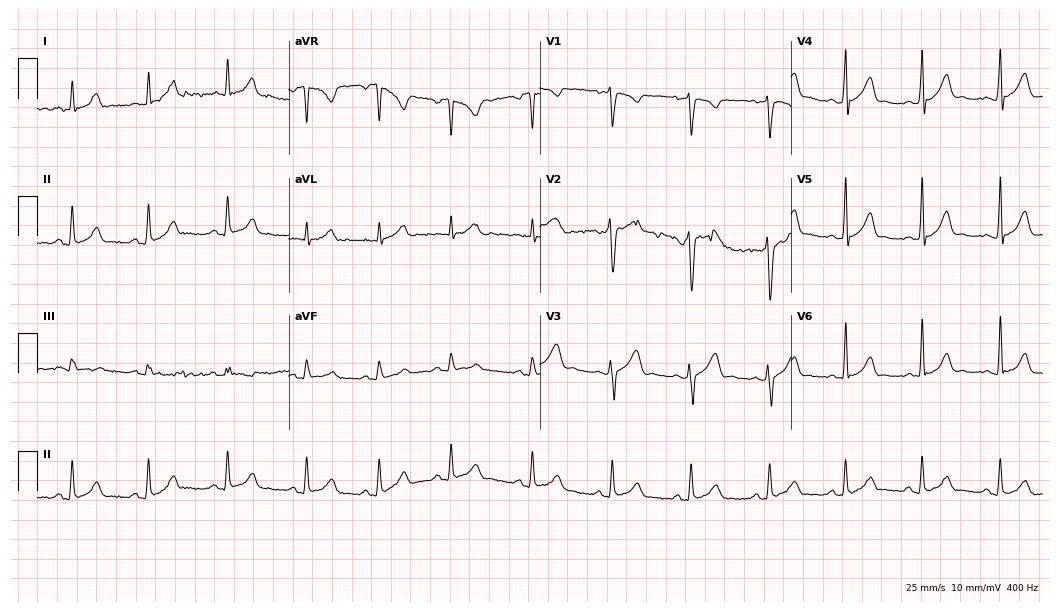
12-lead ECG (10.2-second recording at 400 Hz) from a female, 24 years old. Labelled as a normal ECG.